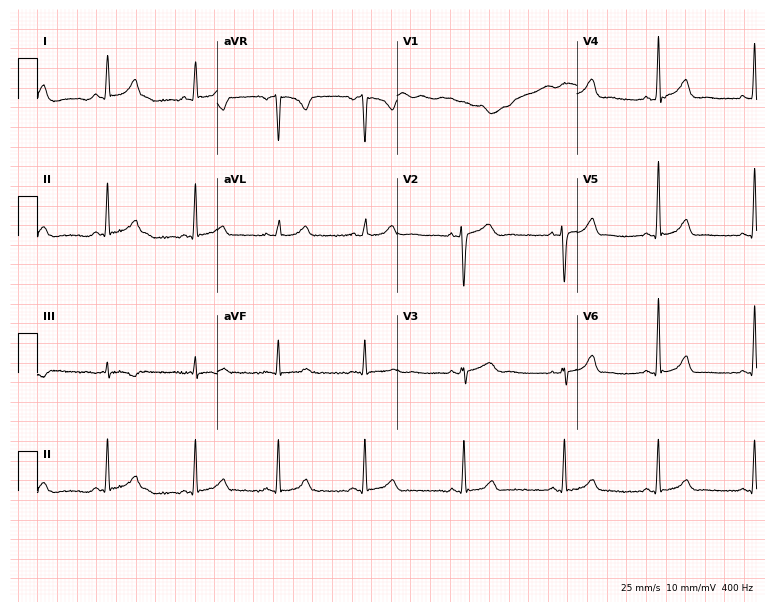
Resting 12-lead electrocardiogram. Patient: a woman, 35 years old. None of these six findings is recorded: first-degree AV block, right bundle branch block, left bundle branch block, sinus bradycardia, atrial fibrillation, sinus tachycardia.